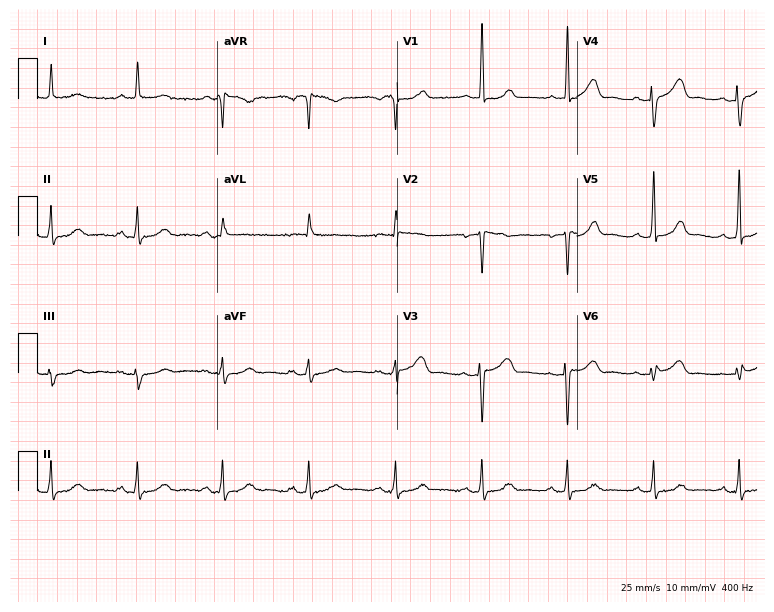
Standard 12-lead ECG recorded from a woman, 66 years old. None of these six findings is recorded: first-degree AV block, right bundle branch block (RBBB), left bundle branch block (LBBB), sinus bradycardia, atrial fibrillation (AF), sinus tachycardia. Other findings, if any, are not listed.